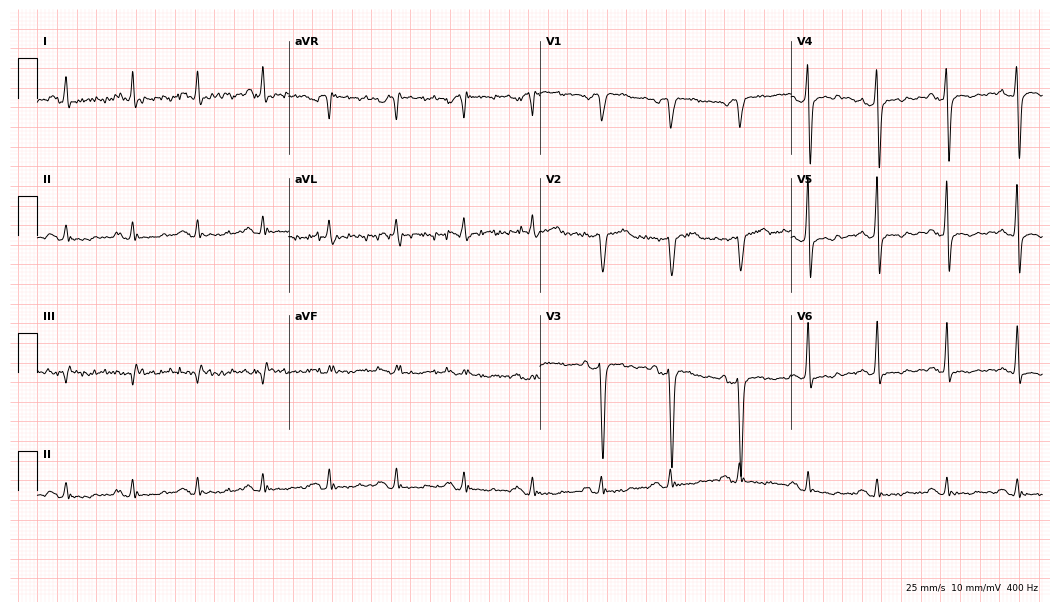
Standard 12-lead ECG recorded from a 50-year-old man (10.2-second recording at 400 Hz). None of these six findings is recorded: first-degree AV block, right bundle branch block, left bundle branch block, sinus bradycardia, atrial fibrillation, sinus tachycardia. Other findings, if any, are not listed.